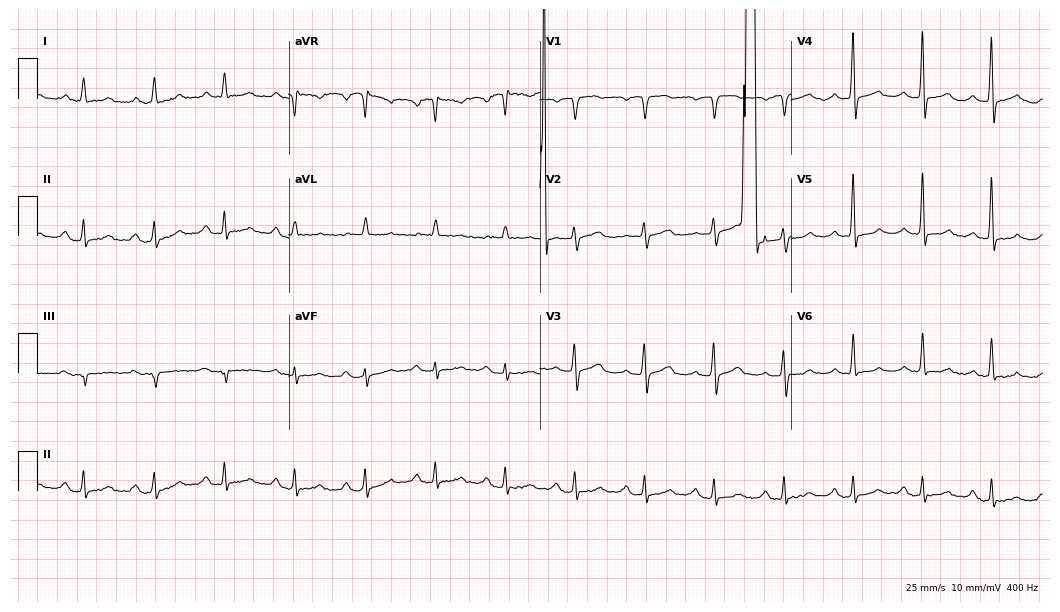
Resting 12-lead electrocardiogram. Patient: an 85-year-old male. The tracing shows first-degree AV block.